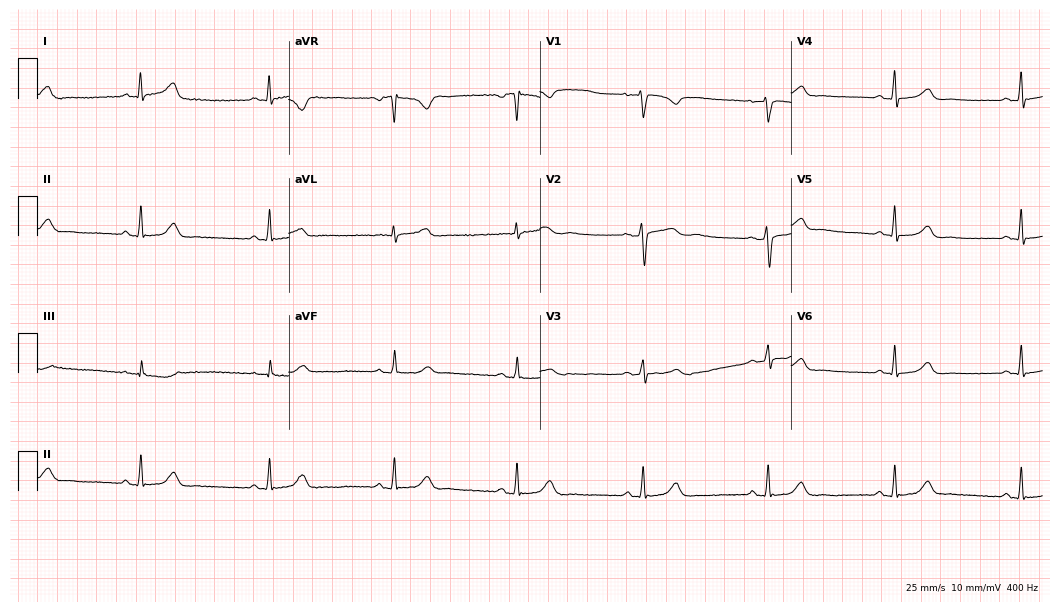
12-lead ECG from a female, 62 years old (10.2-second recording at 400 Hz). Recorded interpretation: within normal limits.